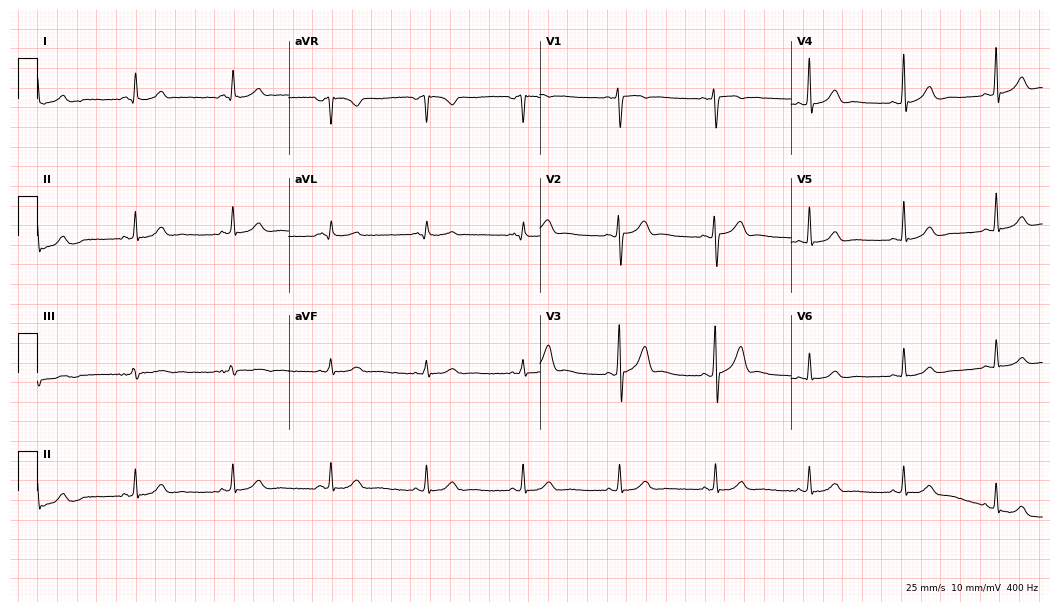
Resting 12-lead electrocardiogram. Patient: a male, 32 years old. Read as a normal ECG.